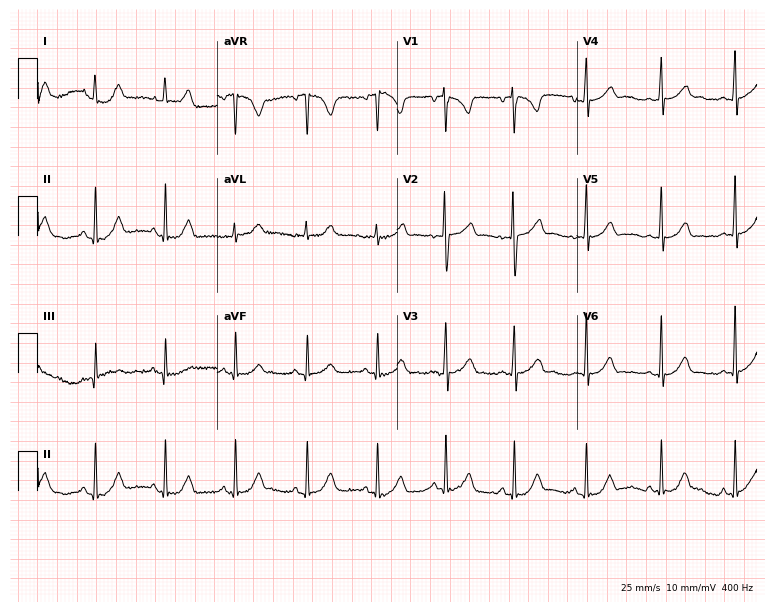
ECG — a female patient, 23 years old. Screened for six findings — first-degree AV block, right bundle branch block, left bundle branch block, sinus bradycardia, atrial fibrillation, sinus tachycardia — none is recorded.